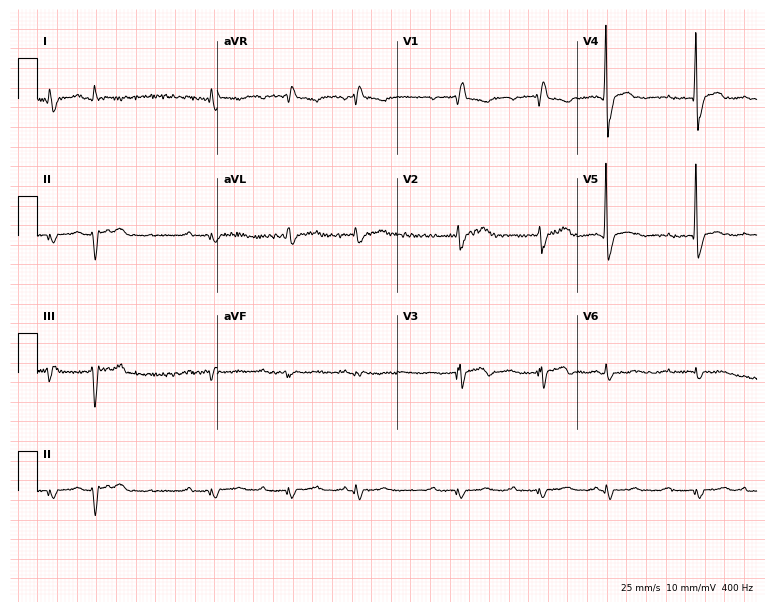
Electrocardiogram, a man, 71 years old. Of the six screened findings (first-degree AV block, right bundle branch block (RBBB), left bundle branch block (LBBB), sinus bradycardia, atrial fibrillation (AF), sinus tachycardia), none is recorded.